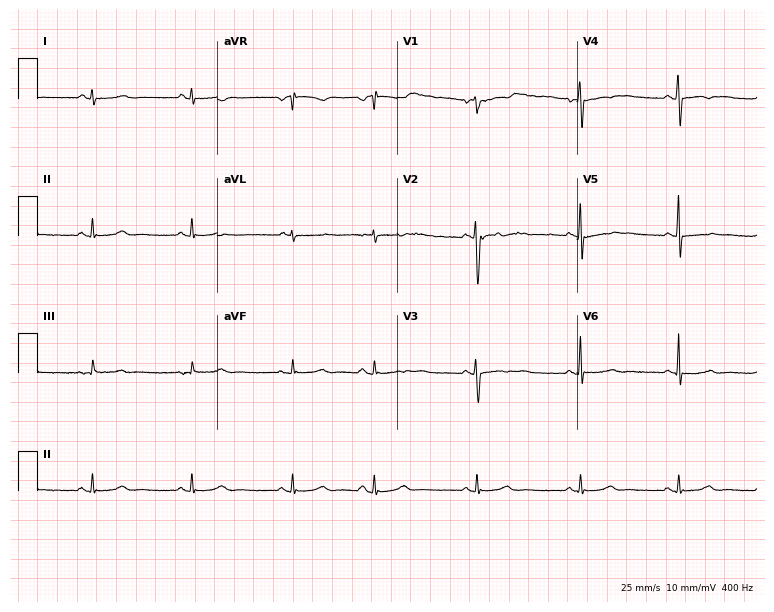
Electrocardiogram (7.3-second recording at 400 Hz), a female patient, 26 years old. Of the six screened findings (first-degree AV block, right bundle branch block, left bundle branch block, sinus bradycardia, atrial fibrillation, sinus tachycardia), none is recorded.